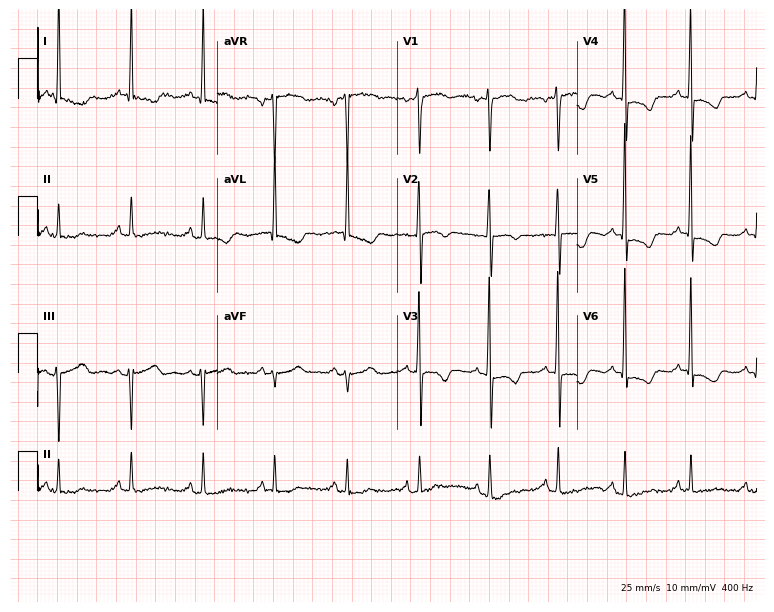
12-lead ECG from a 75-year-old female patient. Screened for six findings — first-degree AV block, right bundle branch block (RBBB), left bundle branch block (LBBB), sinus bradycardia, atrial fibrillation (AF), sinus tachycardia — none is recorded.